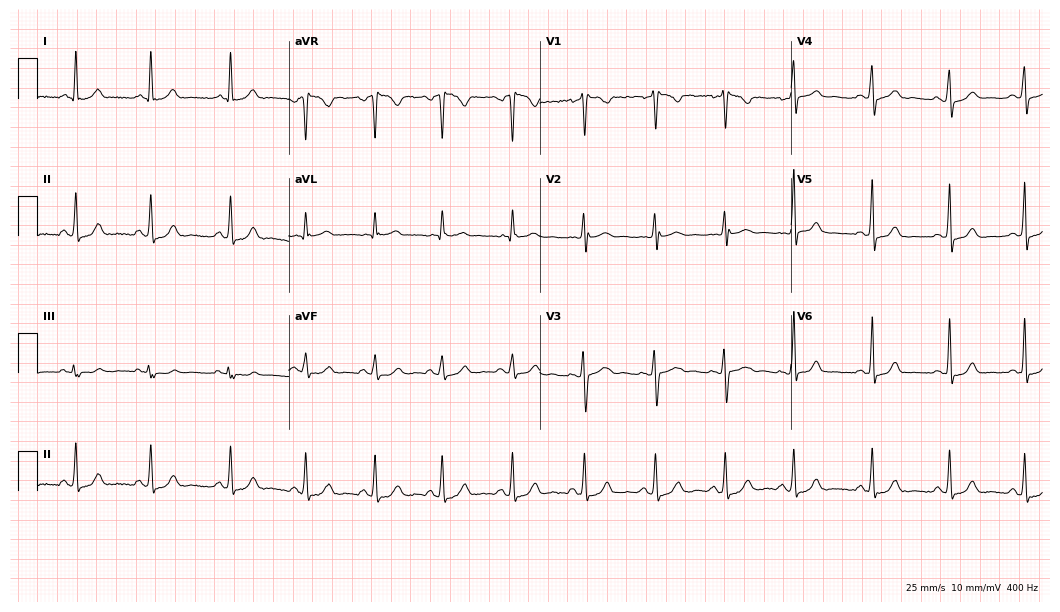
ECG (10.2-second recording at 400 Hz) — a 26-year-old female. Labelled as a normal ECG.